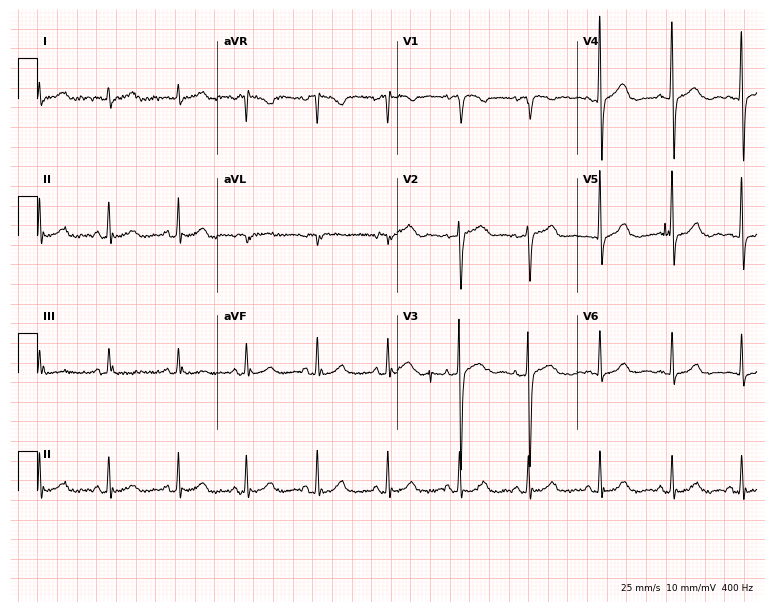
12-lead ECG from a female, 81 years old. Labelled as a normal ECG.